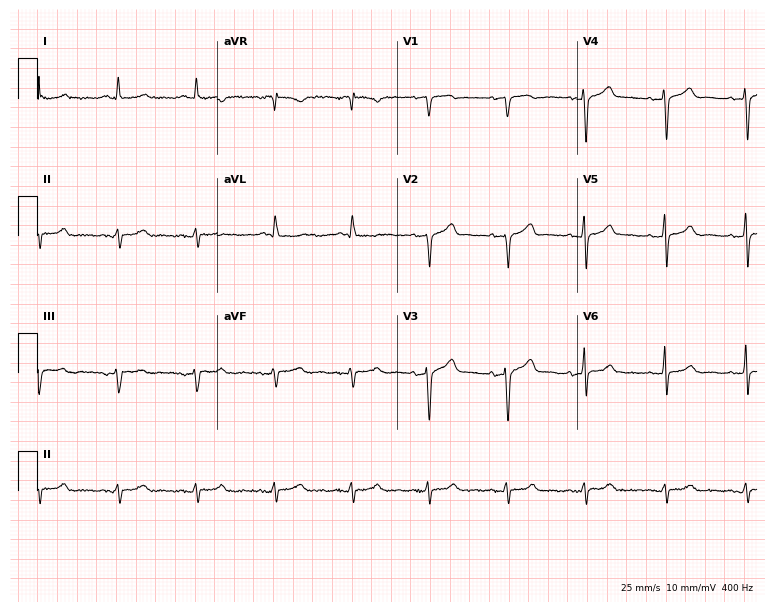
ECG (7.3-second recording at 400 Hz) — a female patient, 59 years old. Screened for six findings — first-degree AV block, right bundle branch block, left bundle branch block, sinus bradycardia, atrial fibrillation, sinus tachycardia — none is recorded.